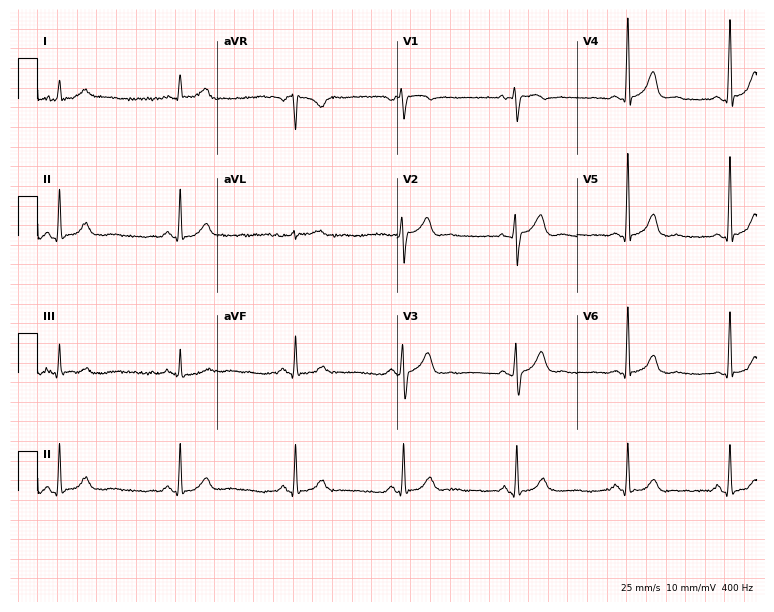
Electrocardiogram (7.3-second recording at 400 Hz), a 51-year-old male patient. Overall reading on record: normal ECG.